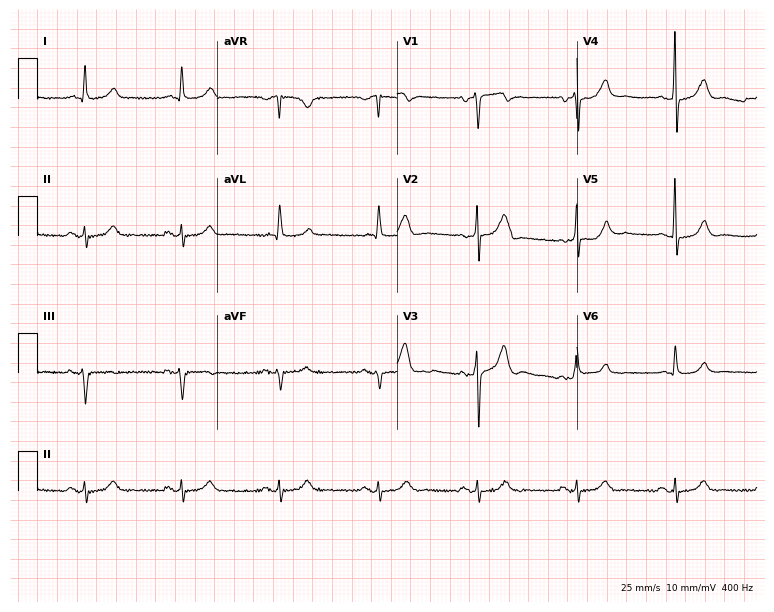
Standard 12-lead ECG recorded from a 74-year-old male. Read as a normal ECG.